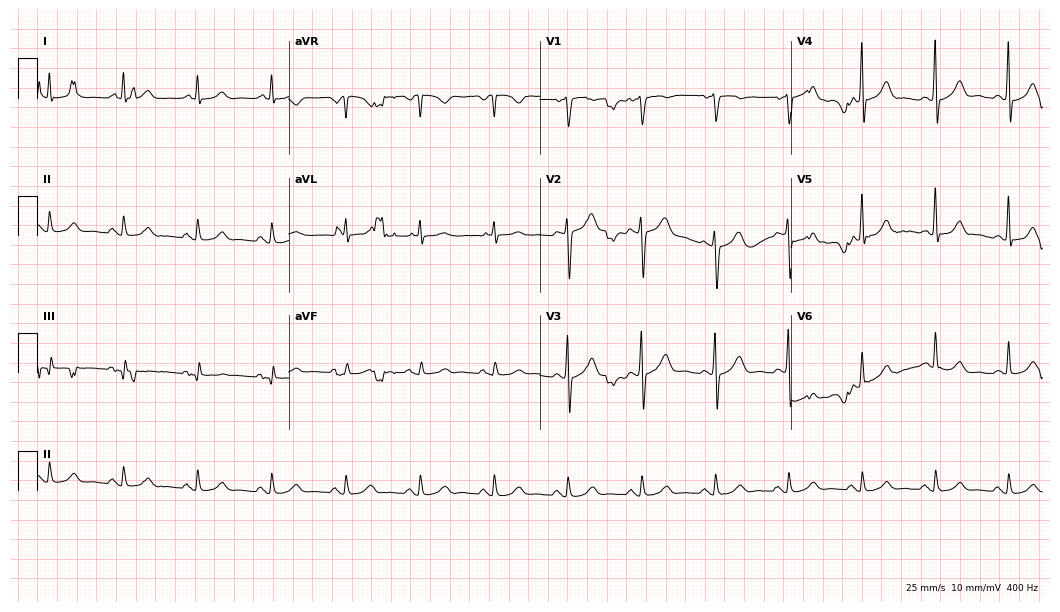
12-lead ECG from a 77-year-old male. Recorded interpretation: within normal limits.